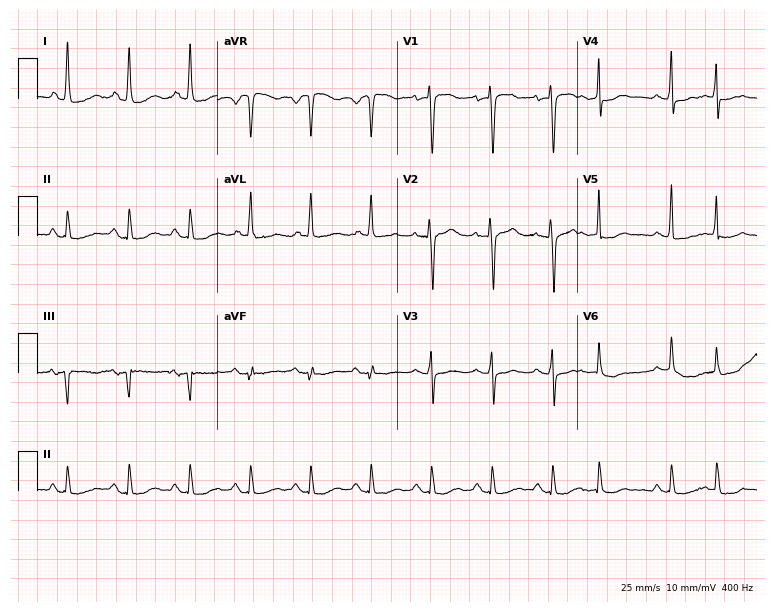
ECG — a female, 72 years old. Screened for six findings — first-degree AV block, right bundle branch block (RBBB), left bundle branch block (LBBB), sinus bradycardia, atrial fibrillation (AF), sinus tachycardia — none is recorded.